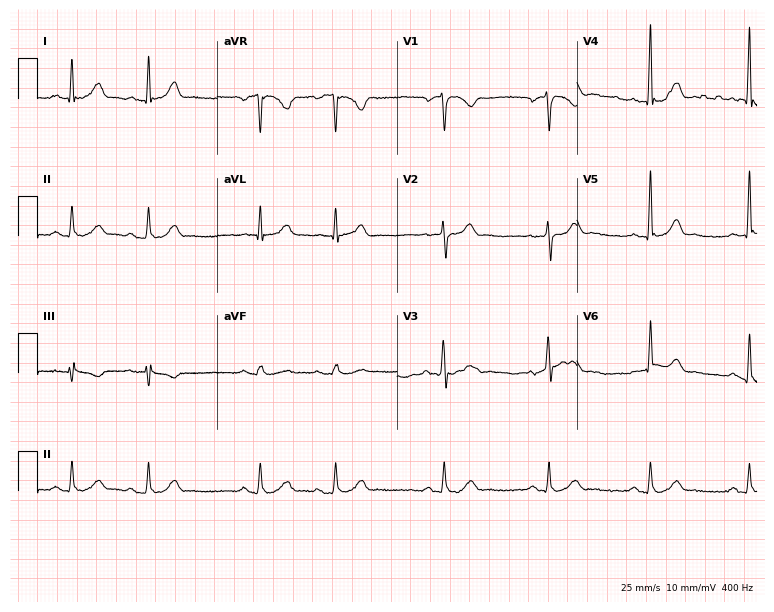
Standard 12-lead ECG recorded from a male patient, 57 years old. Read as a normal ECG.